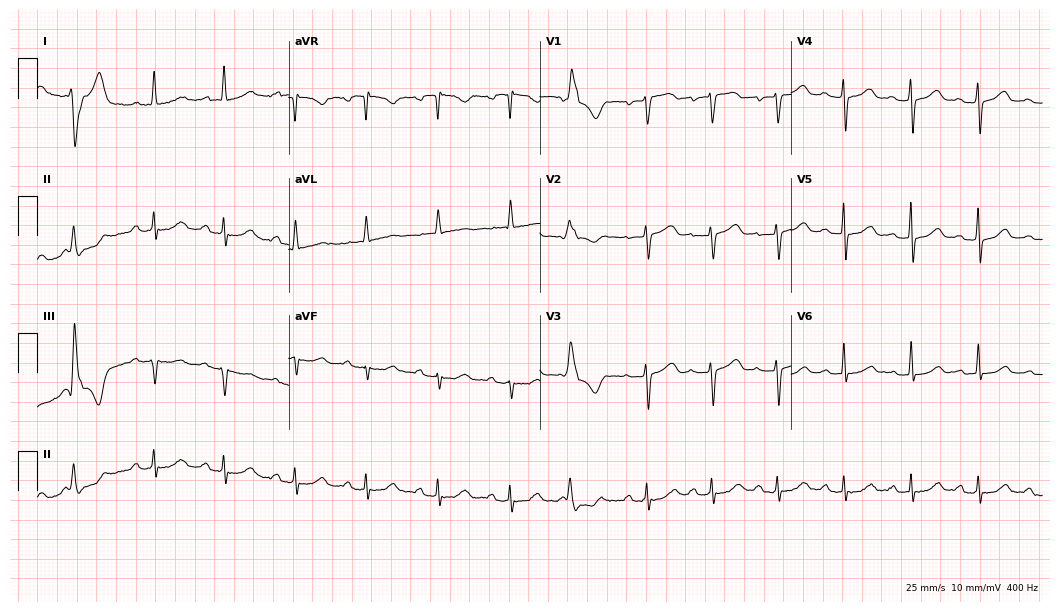
12-lead ECG from a female patient, 76 years old. Screened for six findings — first-degree AV block, right bundle branch block, left bundle branch block, sinus bradycardia, atrial fibrillation, sinus tachycardia — none is recorded.